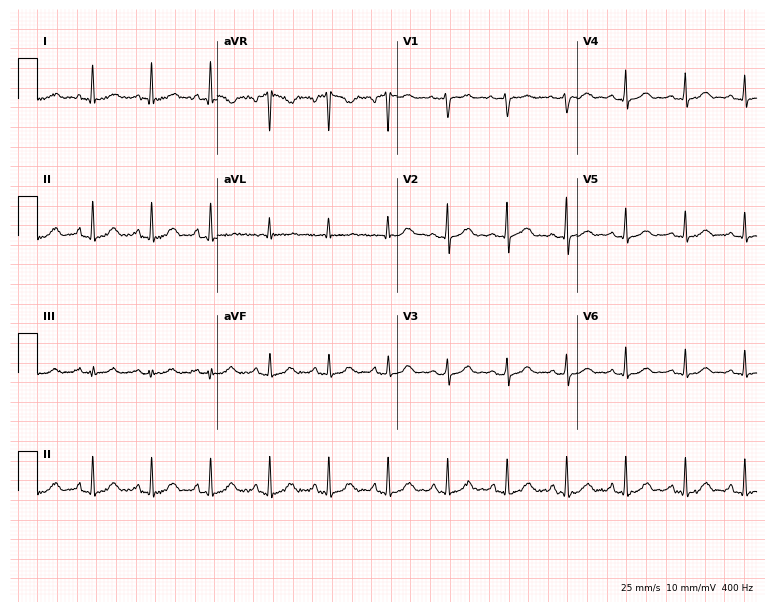
Resting 12-lead electrocardiogram. Patient: a female, 50 years old. Read as a normal ECG.